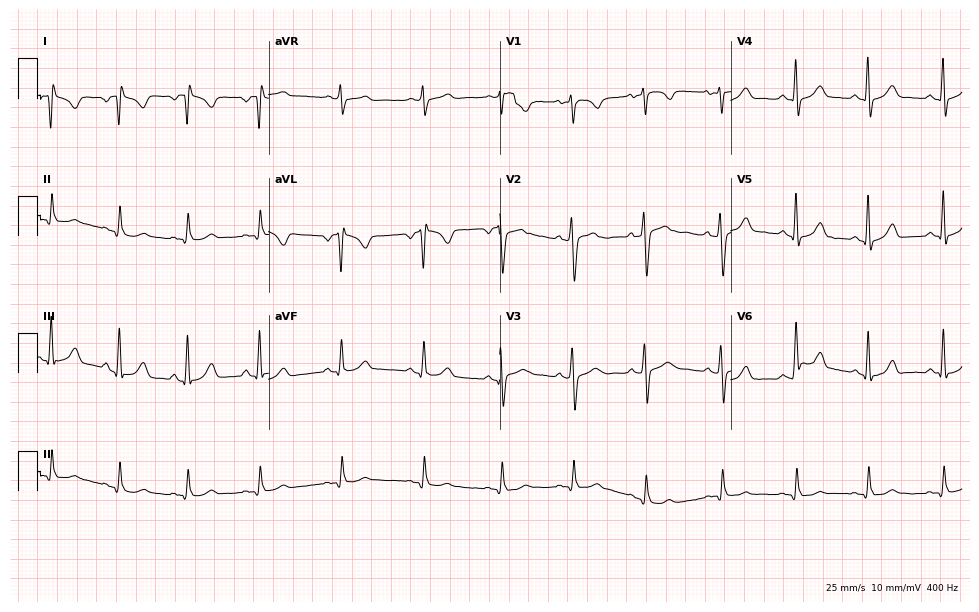
Standard 12-lead ECG recorded from a 22-year-old female patient. None of these six findings is recorded: first-degree AV block, right bundle branch block (RBBB), left bundle branch block (LBBB), sinus bradycardia, atrial fibrillation (AF), sinus tachycardia.